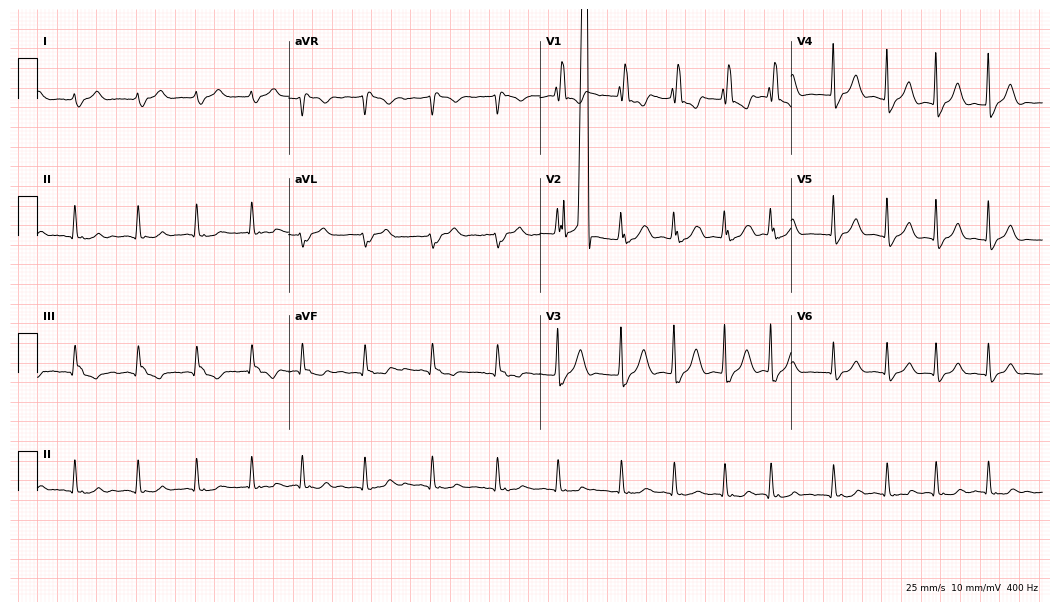
Resting 12-lead electrocardiogram. Patient: an 83-year-old female. The tracing shows right bundle branch block, atrial fibrillation.